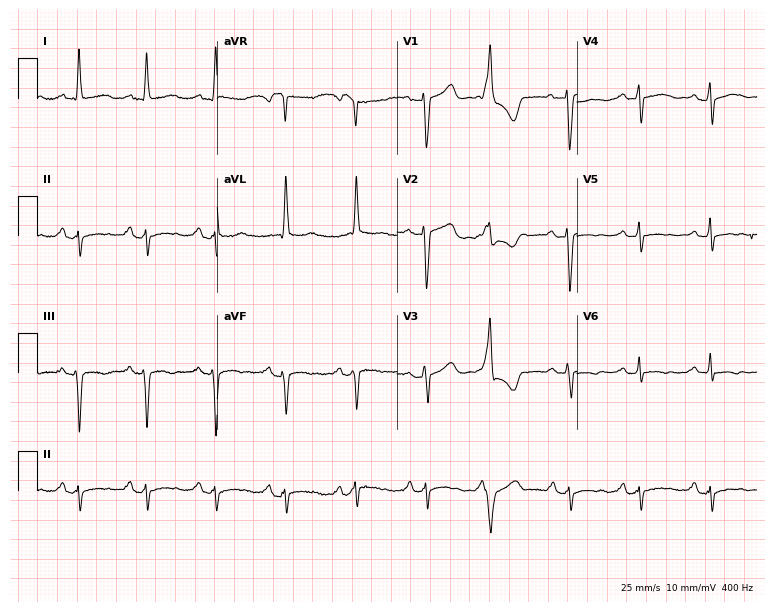
12-lead ECG from a woman, 64 years old. Screened for six findings — first-degree AV block, right bundle branch block, left bundle branch block, sinus bradycardia, atrial fibrillation, sinus tachycardia — none is recorded. Findings outside these six are not listed.